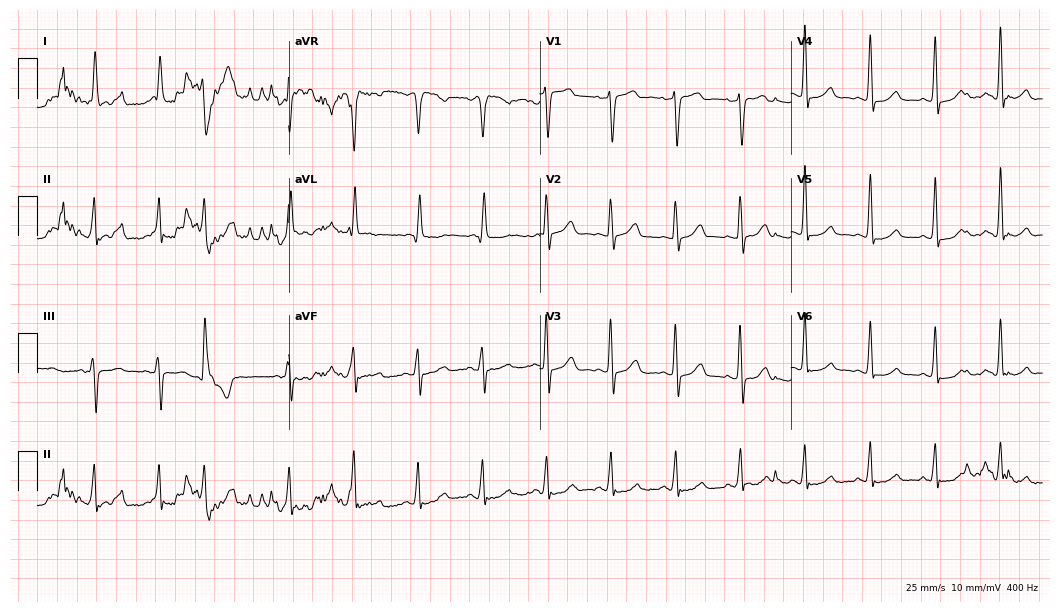
12-lead ECG from a 72-year-old female patient. No first-degree AV block, right bundle branch block (RBBB), left bundle branch block (LBBB), sinus bradycardia, atrial fibrillation (AF) or sinus tachycardia recorded for this tracing. Only these six findings were labelled.